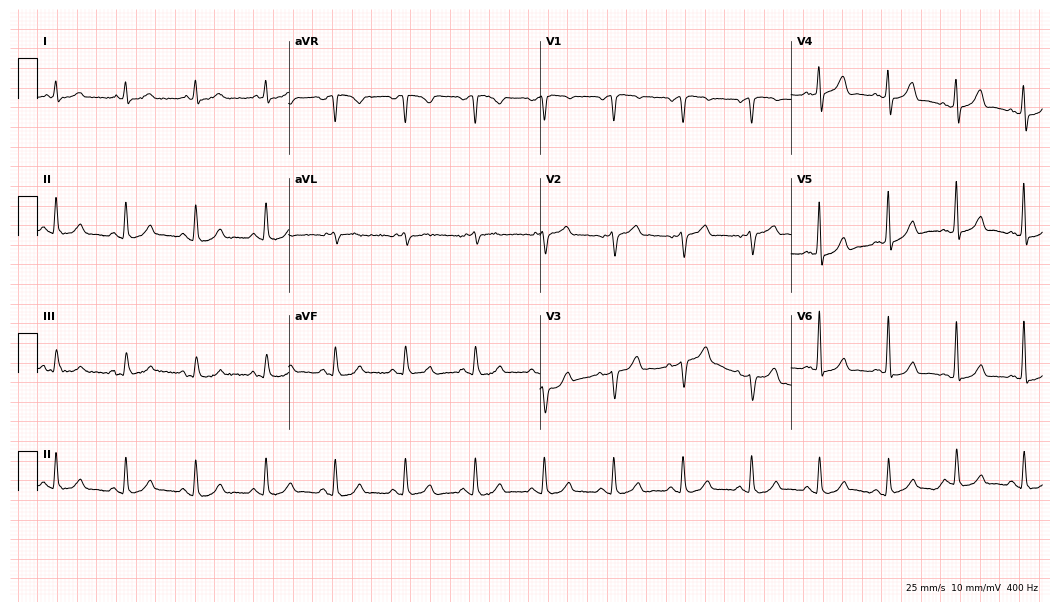
Standard 12-lead ECG recorded from a man, 64 years old. Read as a normal ECG.